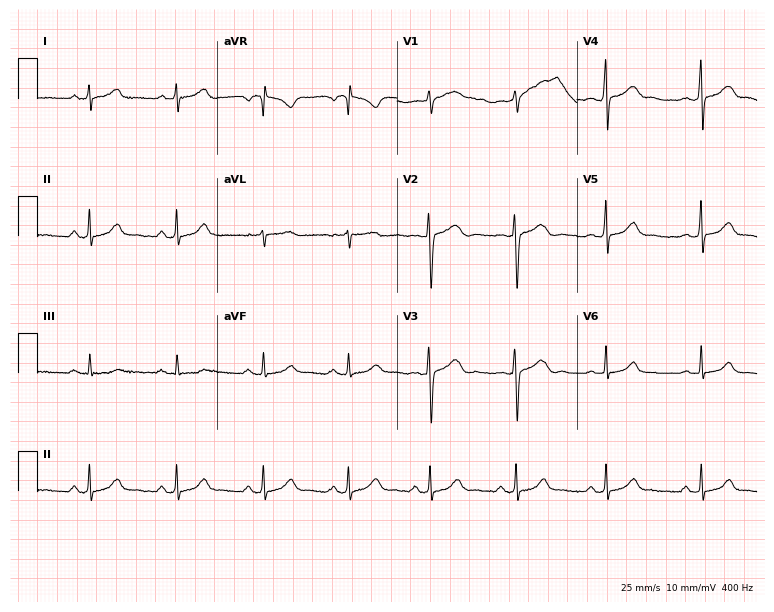
Standard 12-lead ECG recorded from a woman, 25 years old. Read as a normal ECG.